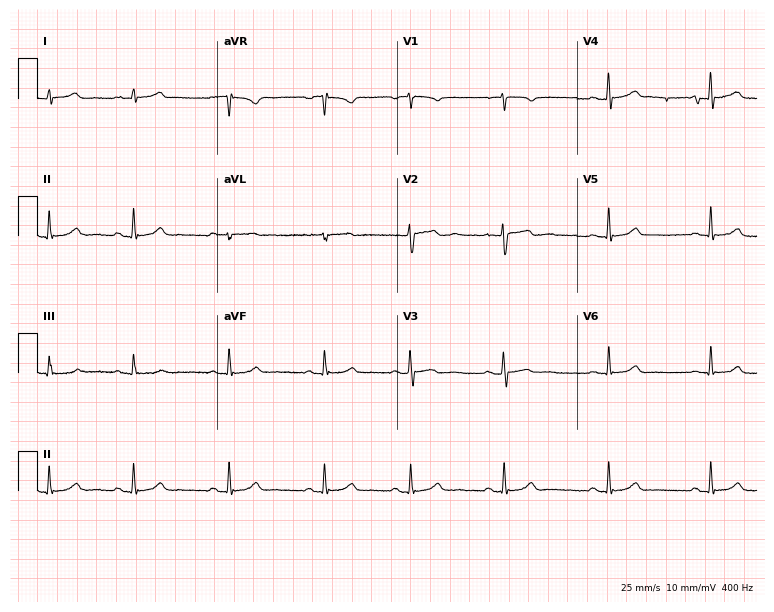
Resting 12-lead electrocardiogram (7.3-second recording at 400 Hz). Patient: an 18-year-old female. Read as a normal ECG.